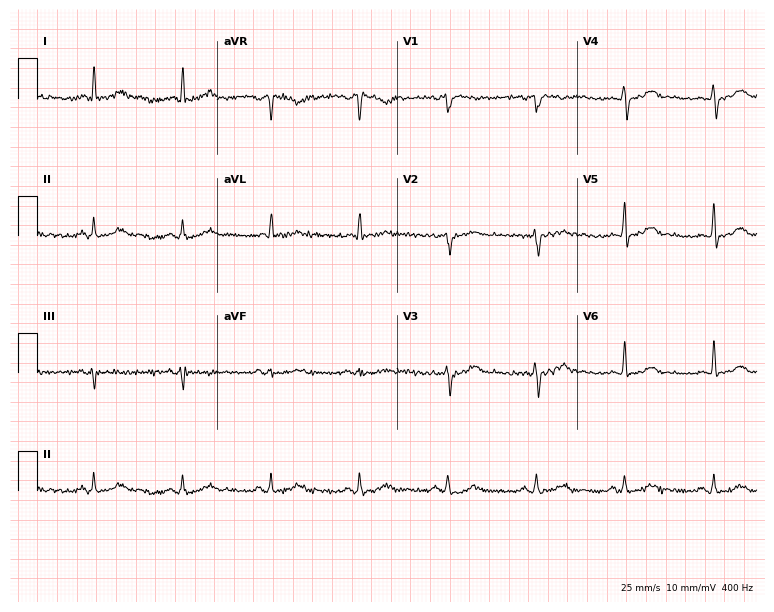
Standard 12-lead ECG recorded from a woman, 64 years old (7.3-second recording at 400 Hz). None of these six findings is recorded: first-degree AV block, right bundle branch block, left bundle branch block, sinus bradycardia, atrial fibrillation, sinus tachycardia. Findings outside these six are not listed.